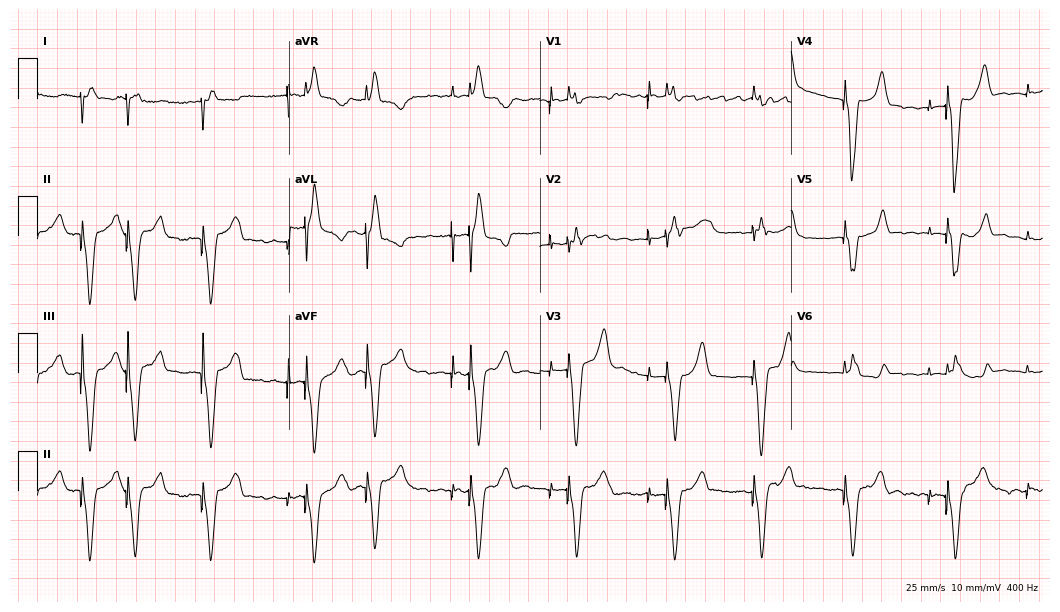
Standard 12-lead ECG recorded from a male, 76 years old. None of these six findings is recorded: first-degree AV block, right bundle branch block, left bundle branch block, sinus bradycardia, atrial fibrillation, sinus tachycardia. Findings outside these six are not listed.